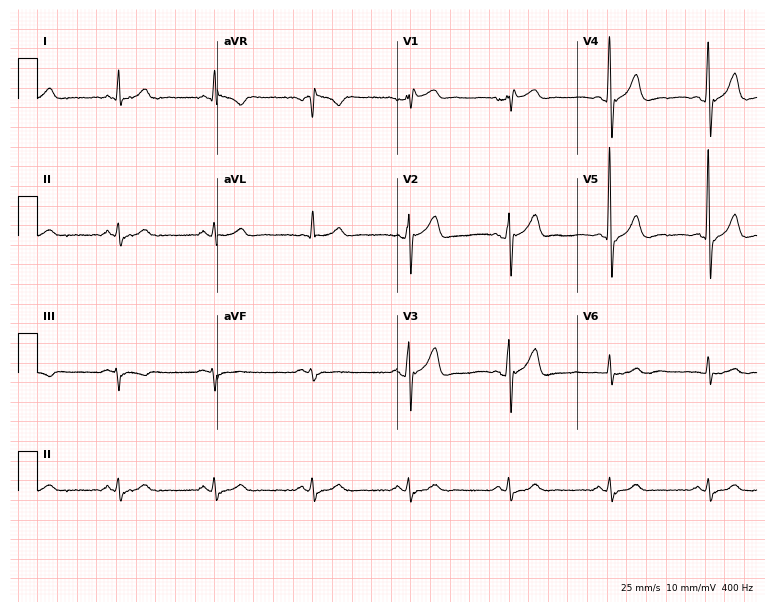
Electrocardiogram, a 66-year-old male patient. Of the six screened findings (first-degree AV block, right bundle branch block, left bundle branch block, sinus bradycardia, atrial fibrillation, sinus tachycardia), none is recorded.